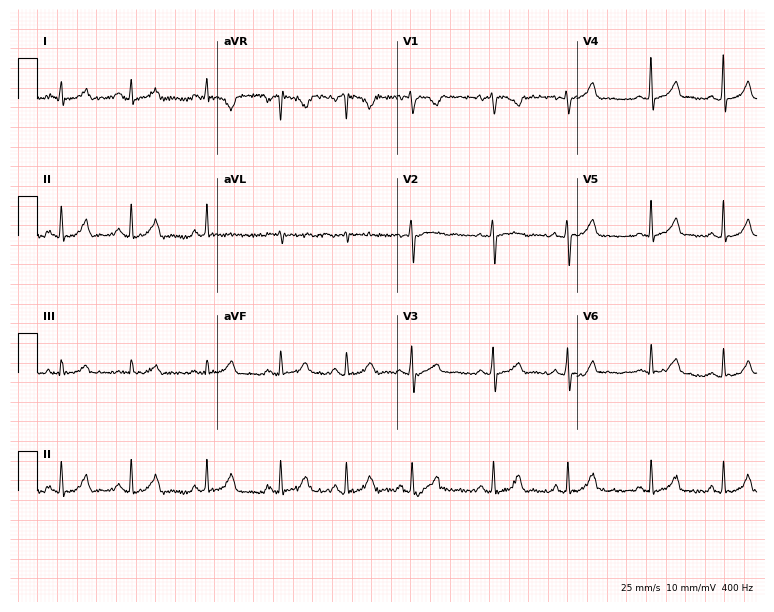
Standard 12-lead ECG recorded from a woman, 21 years old (7.3-second recording at 400 Hz). Read as a normal ECG.